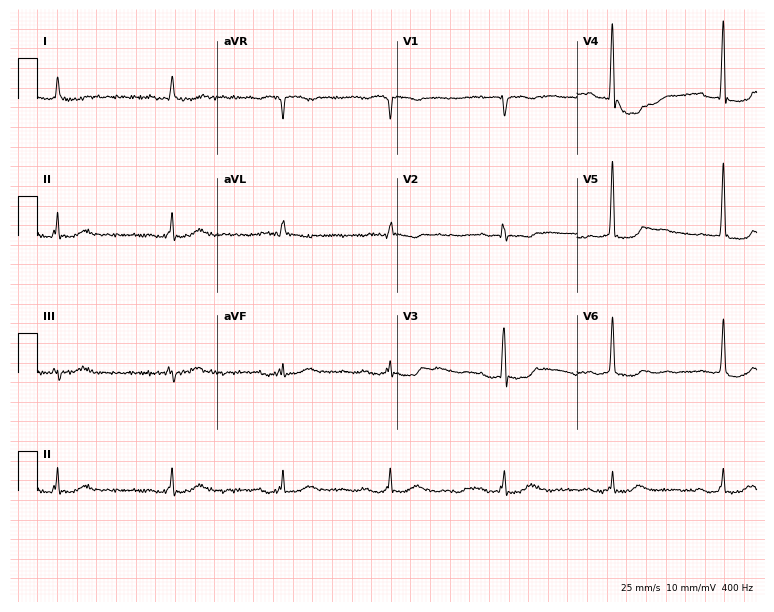
12-lead ECG from a 78-year-old male (7.3-second recording at 400 Hz). Shows first-degree AV block.